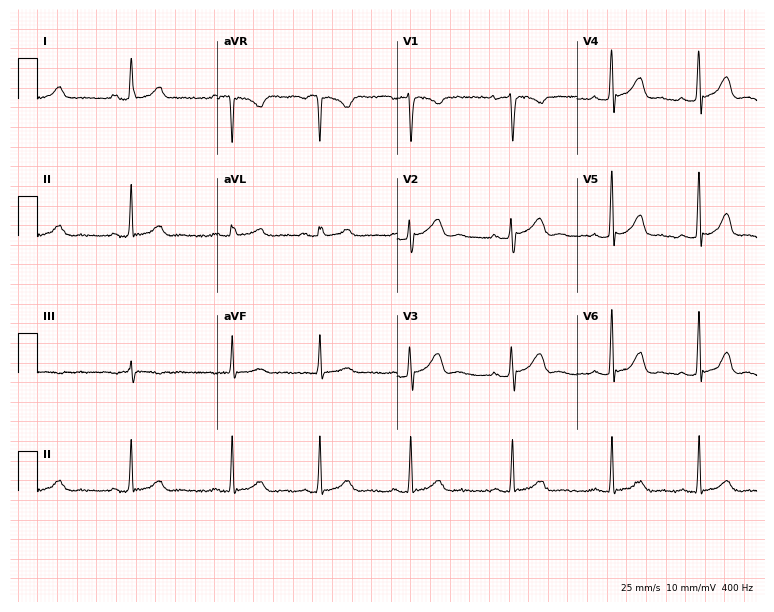
Electrocardiogram (7.3-second recording at 400 Hz), a 30-year-old female patient. Of the six screened findings (first-degree AV block, right bundle branch block (RBBB), left bundle branch block (LBBB), sinus bradycardia, atrial fibrillation (AF), sinus tachycardia), none is recorded. Only these six findings were labelled.